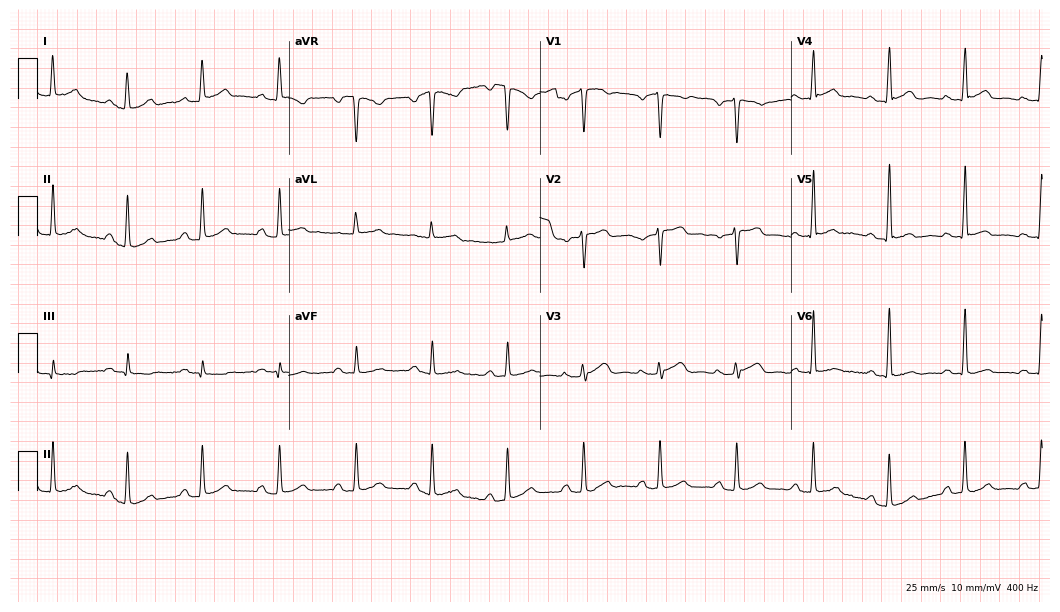
ECG — a 46-year-old female patient. Labelled as a normal ECG.